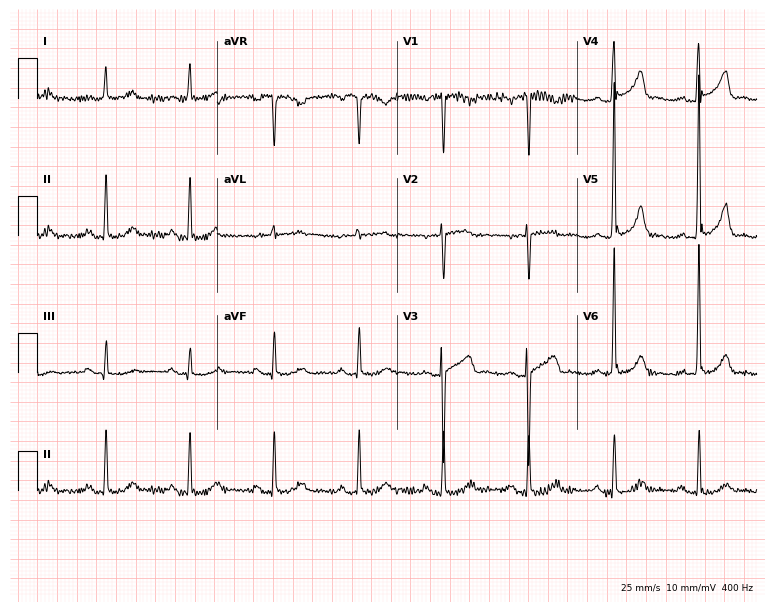
Resting 12-lead electrocardiogram. Patient: an 80-year-old man. None of these six findings is recorded: first-degree AV block, right bundle branch block, left bundle branch block, sinus bradycardia, atrial fibrillation, sinus tachycardia.